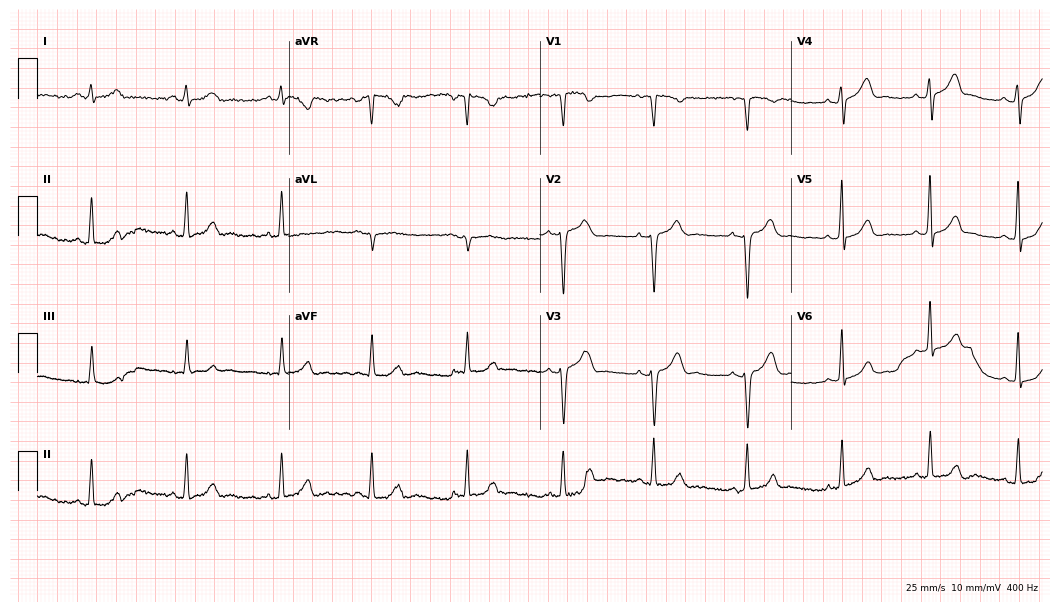
Resting 12-lead electrocardiogram (10.2-second recording at 400 Hz). Patient: a 27-year-old woman. None of these six findings is recorded: first-degree AV block, right bundle branch block, left bundle branch block, sinus bradycardia, atrial fibrillation, sinus tachycardia.